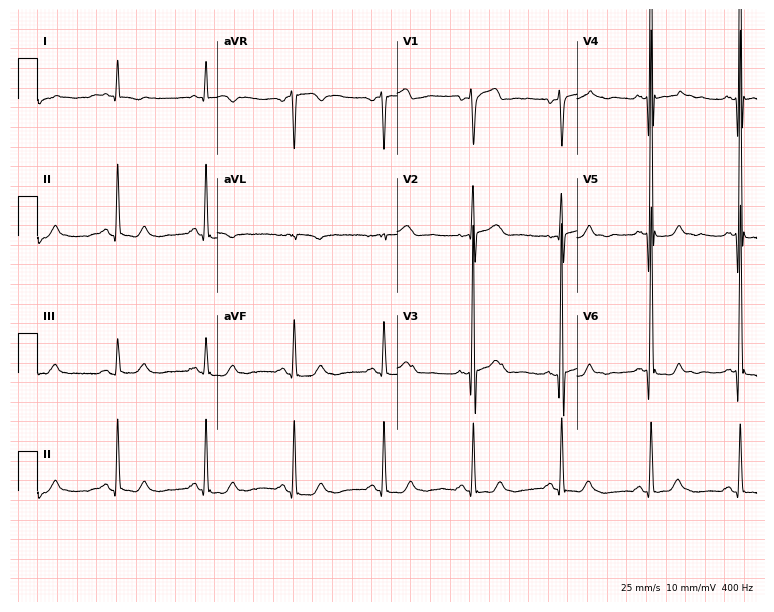
12-lead ECG from a male patient, 67 years old. No first-degree AV block, right bundle branch block (RBBB), left bundle branch block (LBBB), sinus bradycardia, atrial fibrillation (AF) or sinus tachycardia recorded for this tracing. Other findings, if any, are not listed.